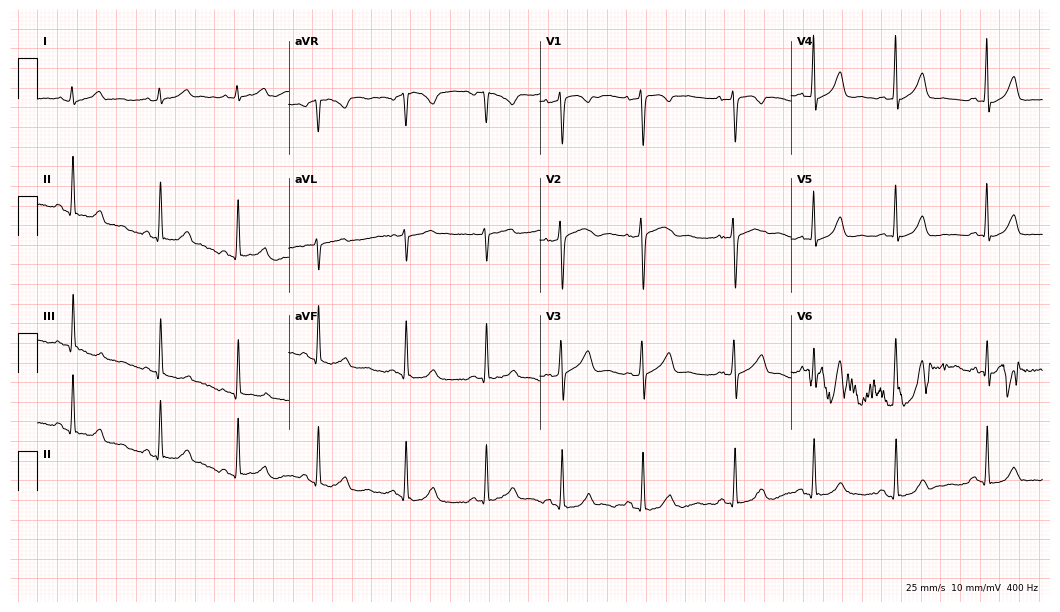
Standard 12-lead ECG recorded from a 28-year-old woman (10.2-second recording at 400 Hz). None of these six findings is recorded: first-degree AV block, right bundle branch block, left bundle branch block, sinus bradycardia, atrial fibrillation, sinus tachycardia. Findings outside these six are not listed.